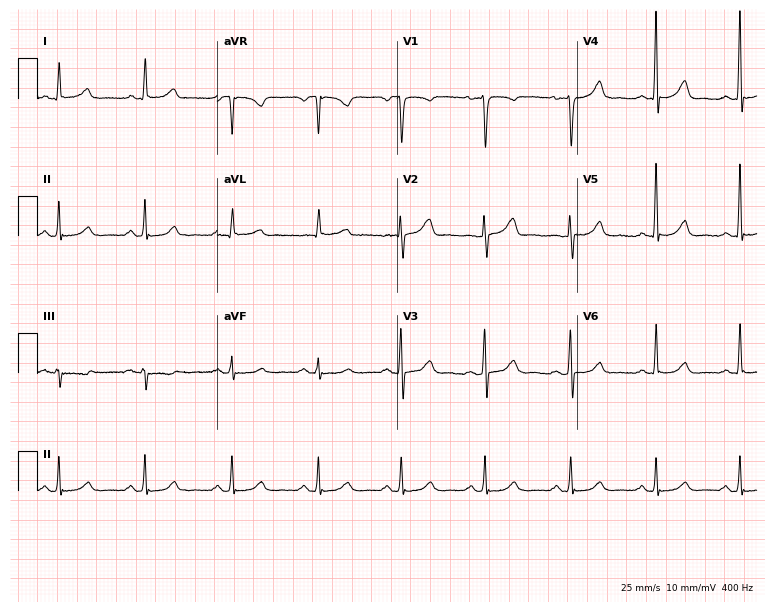
12-lead ECG (7.3-second recording at 400 Hz) from a female, 44 years old. Labelled as a normal ECG.